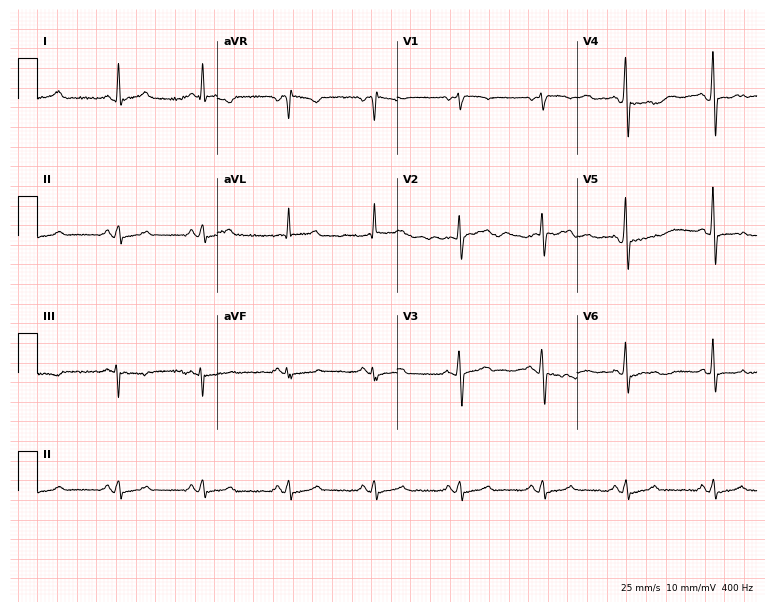
Resting 12-lead electrocardiogram. Patient: a man, 56 years old. None of these six findings is recorded: first-degree AV block, right bundle branch block, left bundle branch block, sinus bradycardia, atrial fibrillation, sinus tachycardia.